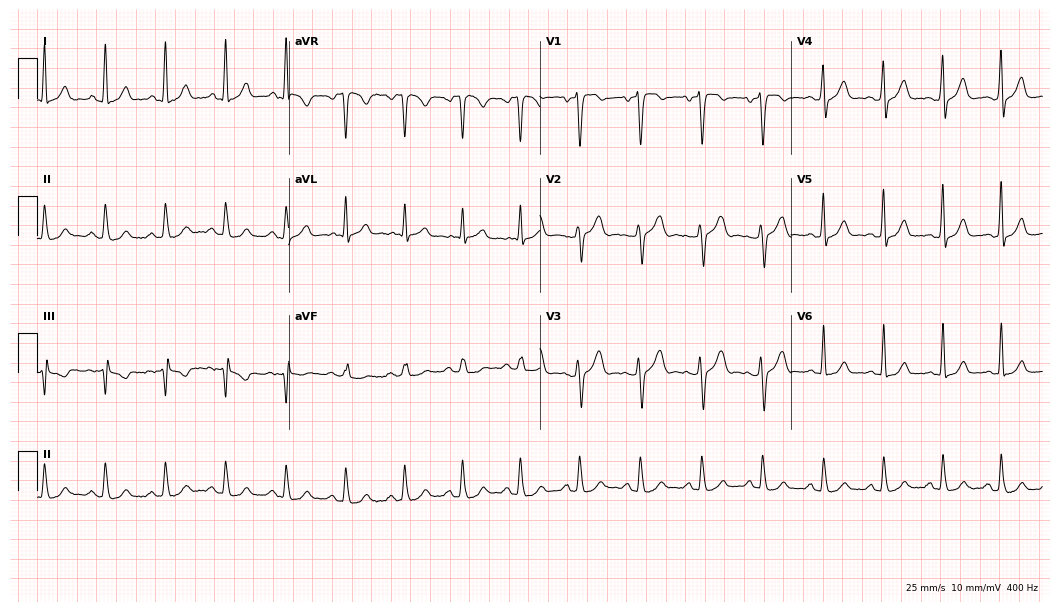
12-lead ECG from a 39-year-old female patient (10.2-second recording at 400 Hz). Recorded interpretation: within normal limits.